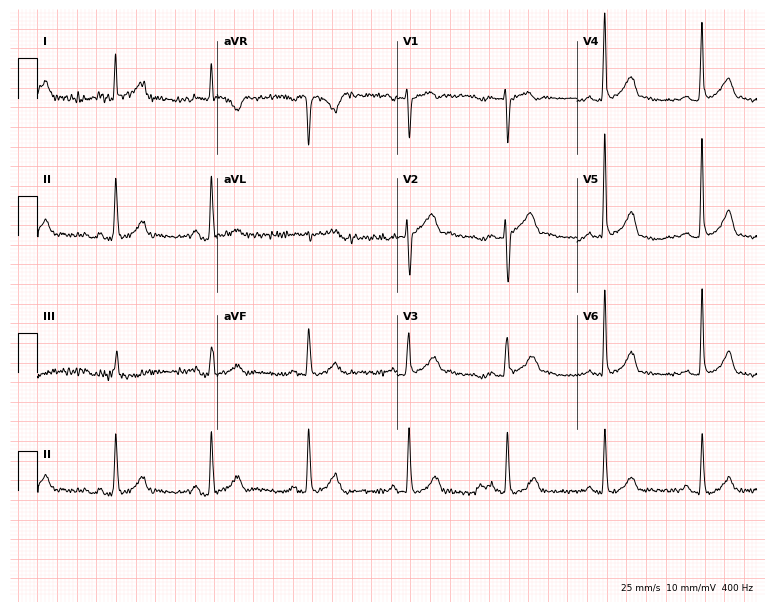
12-lead ECG from a 37-year-old man. Labelled as a normal ECG.